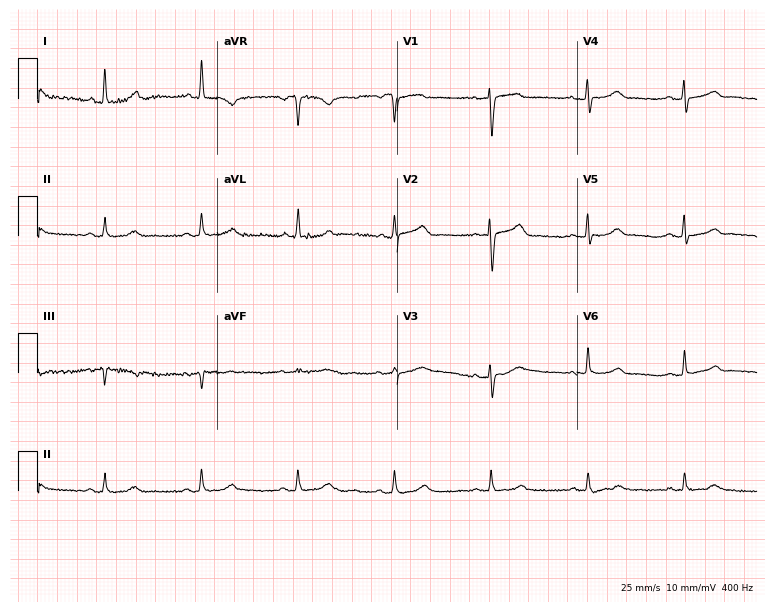
12-lead ECG from a 48-year-old female. Labelled as a normal ECG.